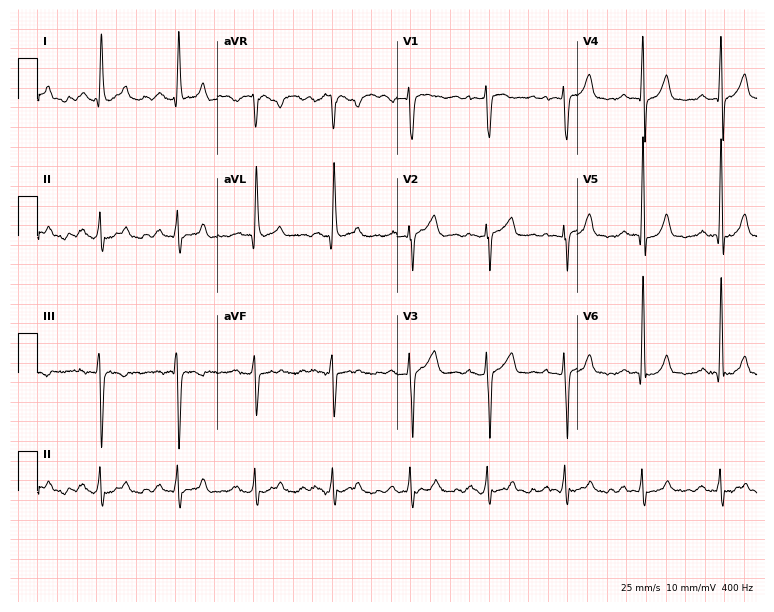
12-lead ECG from a male patient, 79 years old (7.3-second recording at 400 Hz). No first-degree AV block, right bundle branch block, left bundle branch block, sinus bradycardia, atrial fibrillation or sinus tachycardia recorded for this tracing. Only these six findings were labelled.